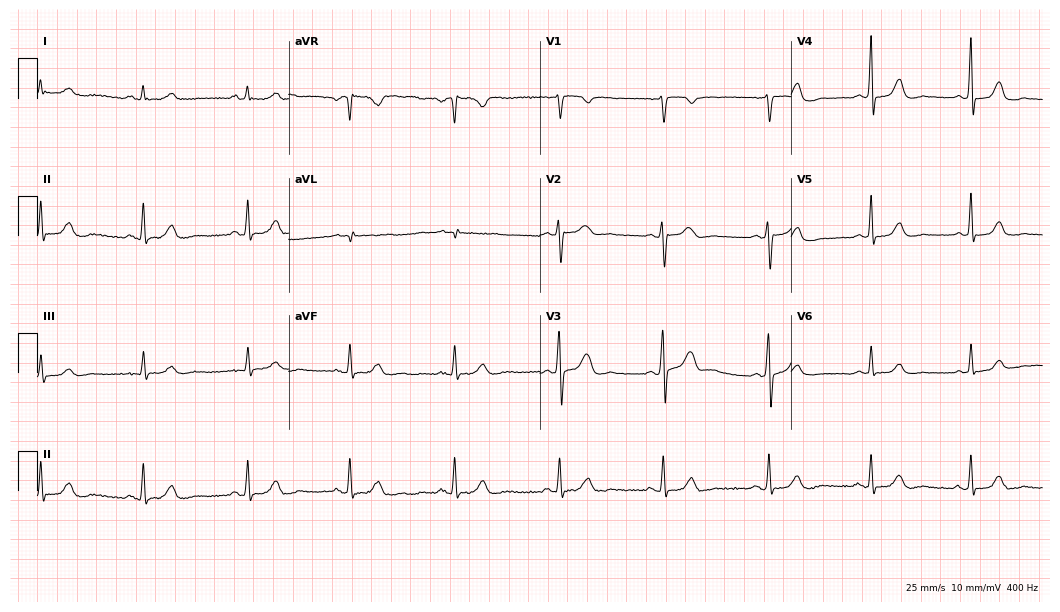
12-lead ECG from a woman, 44 years old. Recorded interpretation: within normal limits.